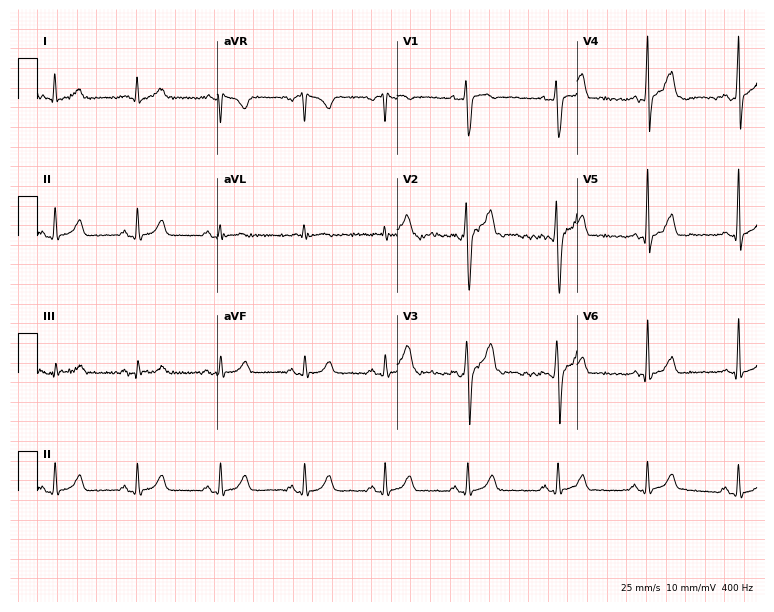
Electrocardiogram, a 29-year-old man. Overall reading on record: normal ECG.